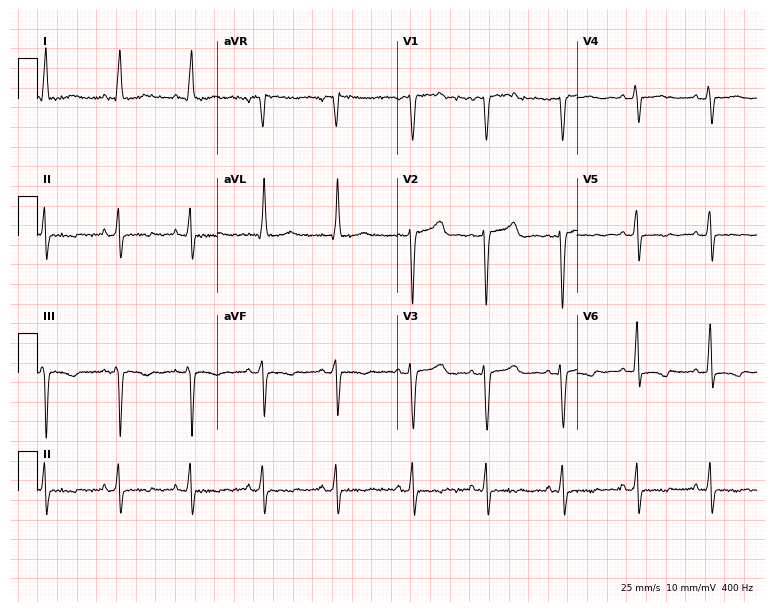
12-lead ECG from an 81-year-old female. Screened for six findings — first-degree AV block, right bundle branch block, left bundle branch block, sinus bradycardia, atrial fibrillation, sinus tachycardia — none is recorded.